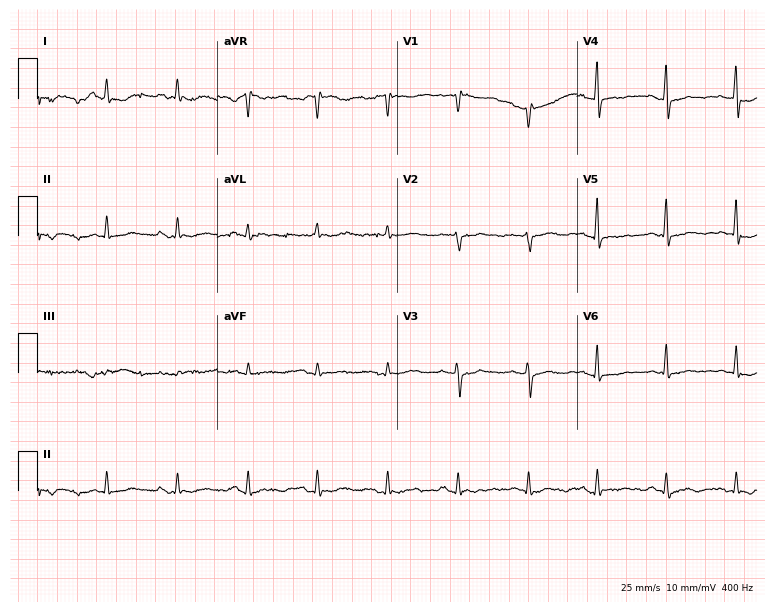
Standard 12-lead ECG recorded from a 69-year-old female. None of these six findings is recorded: first-degree AV block, right bundle branch block, left bundle branch block, sinus bradycardia, atrial fibrillation, sinus tachycardia.